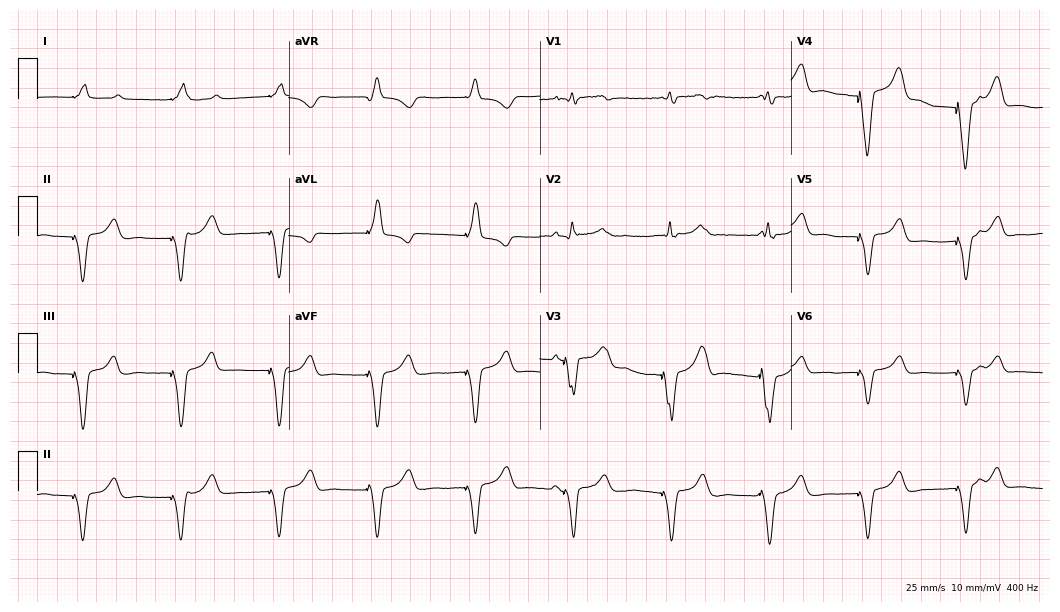
Standard 12-lead ECG recorded from a male patient, 65 years old (10.2-second recording at 400 Hz). None of these six findings is recorded: first-degree AV block, right bundle branch block (RBBB), left bundle branch block (LBBB), sinus bradycardia, atrial fibrillation (AF), sinus tachycardia.